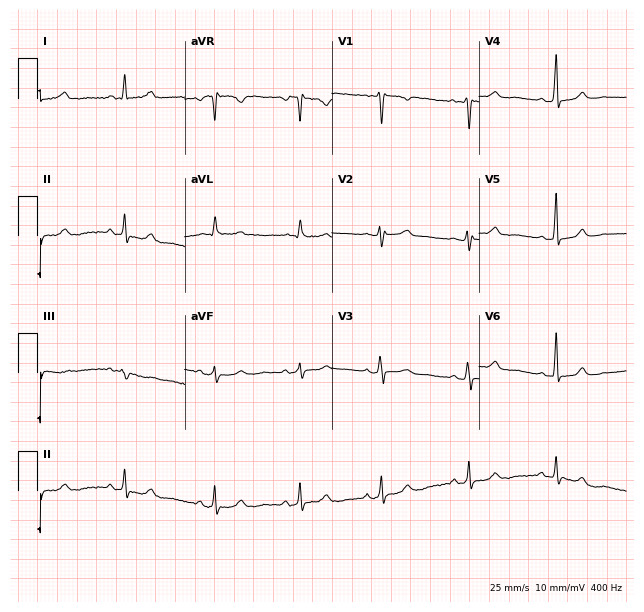
12-lead ECG from a 45-year-old woman (6-second recording at 400 Hz). No first-degree AV block, right bundle branch block, left bundle branch block, sinus bradycardia, atrial fibrillation or sinus tachycardia recorded for this tracing.